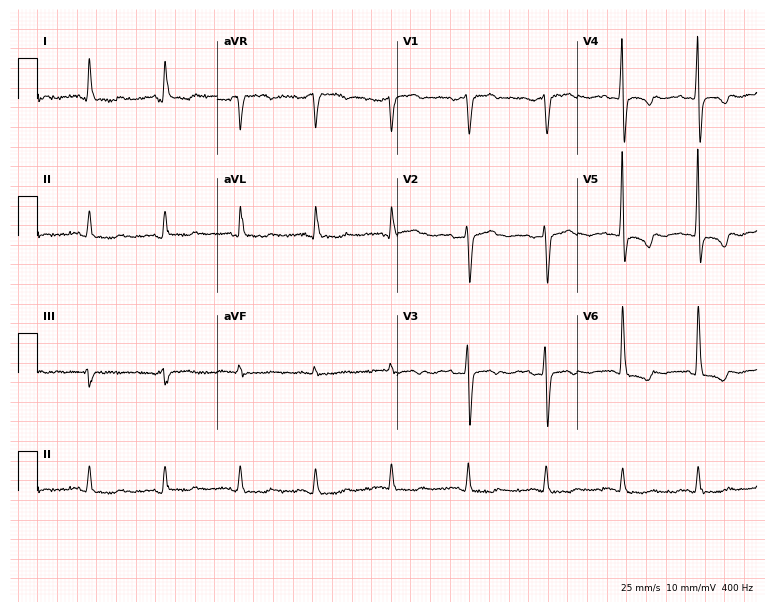
12-lead ECG (7.3-second recording at 400 Hz) from a female, 45 years old. Screened for six findings — first-degree AV block, right bundle branch block, left bundle branch block, sinus bradycardia, atrial fibrillation, sinus tachycardia — none is recorded. Other findings, if any, are not listed.